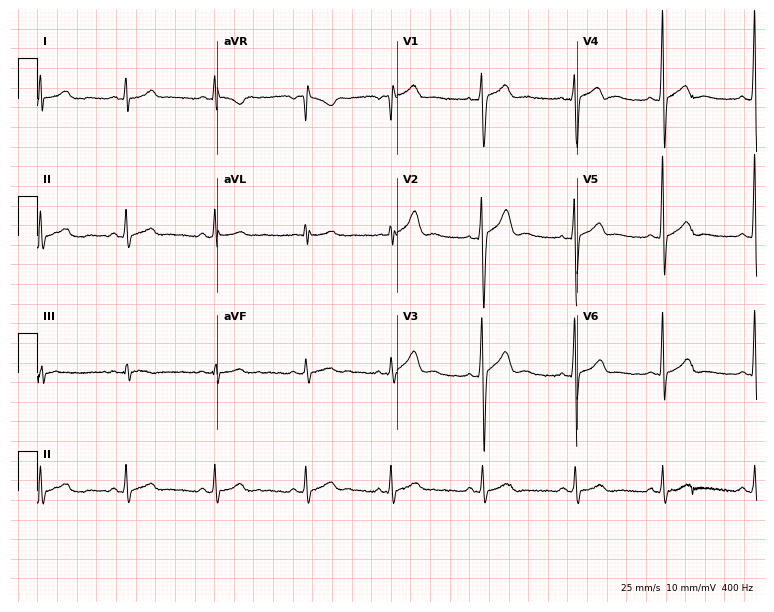
ECG (7.3-second recording at 400 Hz) — a male, 19 years old. Screened for six findings — first-degree AV block, right bundle branch block, left bundle branch block, sinus bradycardia, atrial fibrillation, sinus tachycardia — none is recorded.